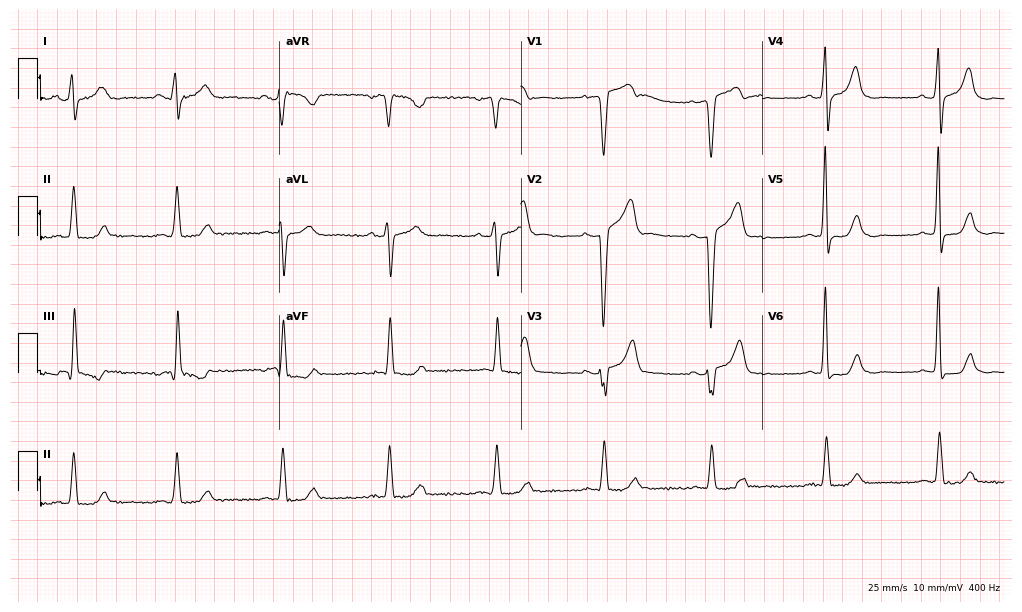
Standard 12-lead ECG recorded from a male, 82 years old (9.9-second recording at 400 Hz). None of these six findings is recorded: first-degree AV block, right bundle branch block, left bundle branch block, sinus bradycardia, atrial fibrillation, sinus tachycardia. Findings outside these six are not listed.